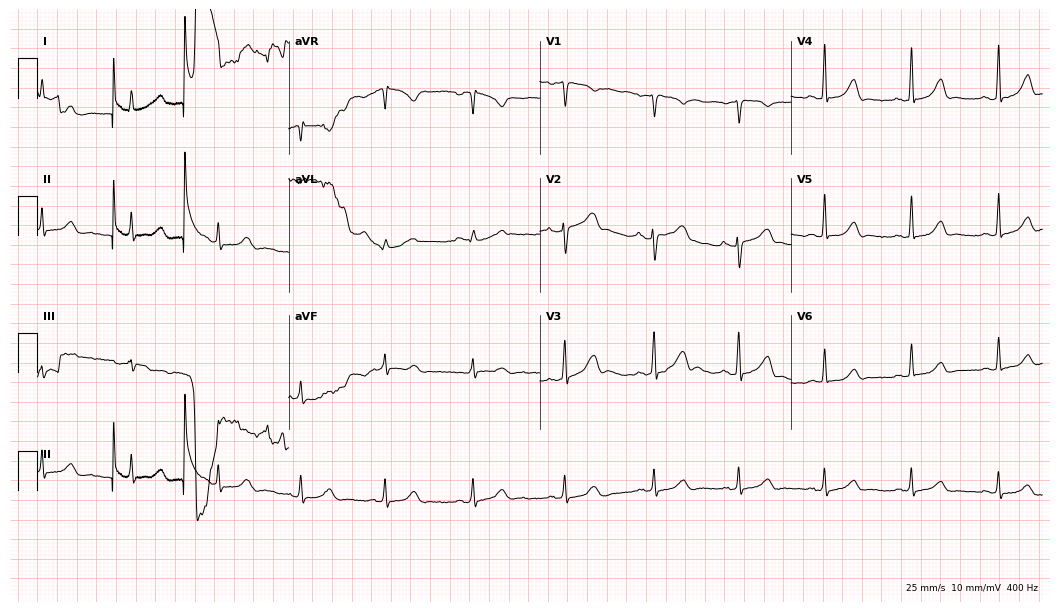
12-lead ECG (10.2-second recording at 400 Hz) from a female patient, 32 years old. Screened for six findings — first-degree AV block, right bundle branch block, left bundle branch block, sinus bradycardia, atrial fibrillation, sinus tachycardia — none is recorded. Only these six findings were labelled.